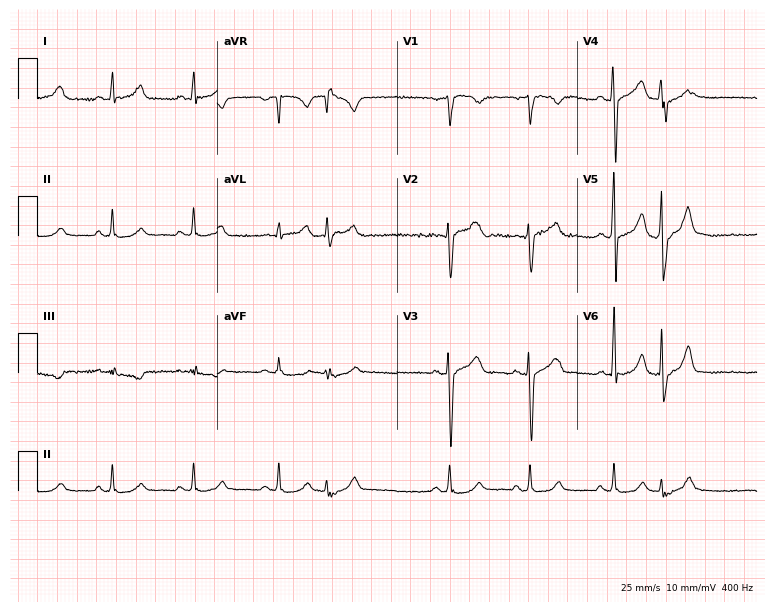
ECG — a man, 52 years old. Screened for six findings — first-degree AV block, right bundle branch block, left bundle branch block, sinus bradycardia, atrial fibrillation, sinus tachycardia — none is recorded. Other findings, if any, are not listed.